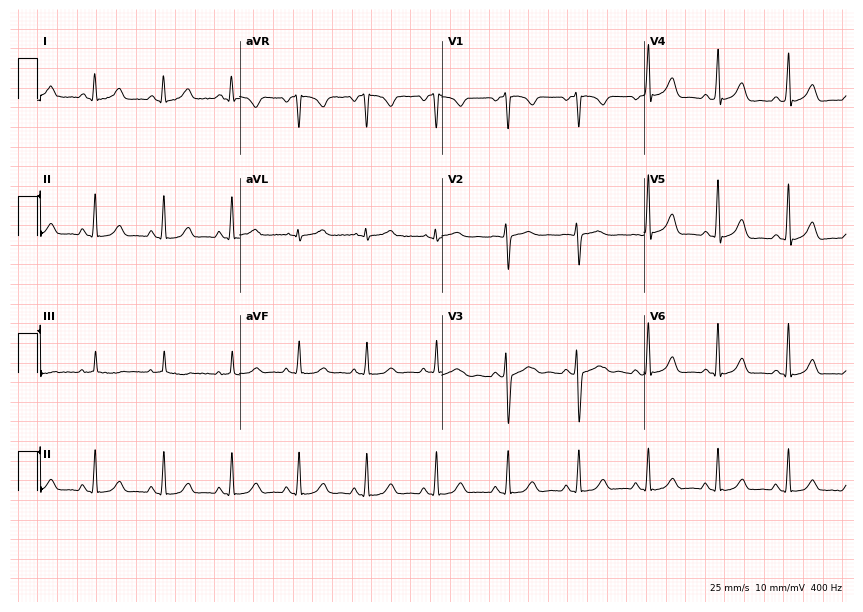
Electrocardiogram (8.2-second recording at 400 Hz), a 30-year-old female. Overall reading on record: normal ECG.